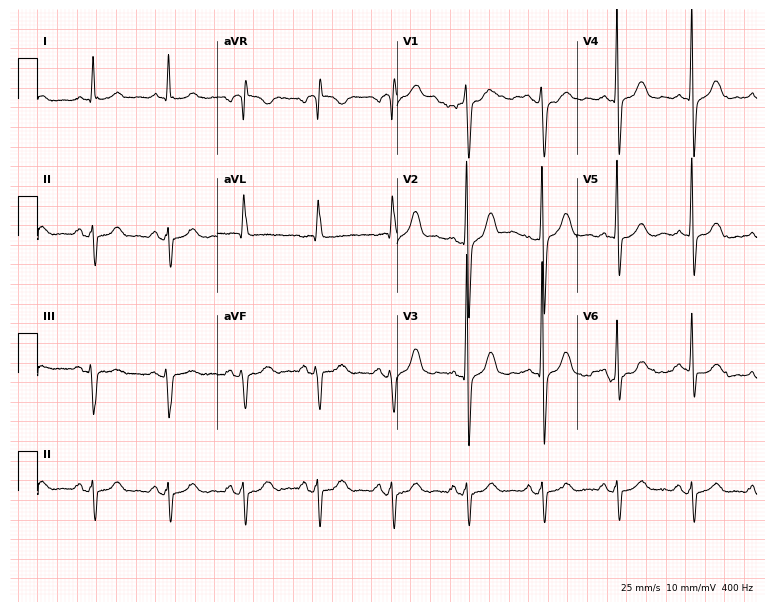
Standard 12-lead ECG recorded from a man, 67 years old (7.3-second recording at 400 Hz). None of these six findings is recorded: first-degree AV block, right bundle branch block, left bundle branch block, sinus bradycardia, atrial fibrillation, sinus tachycardia.